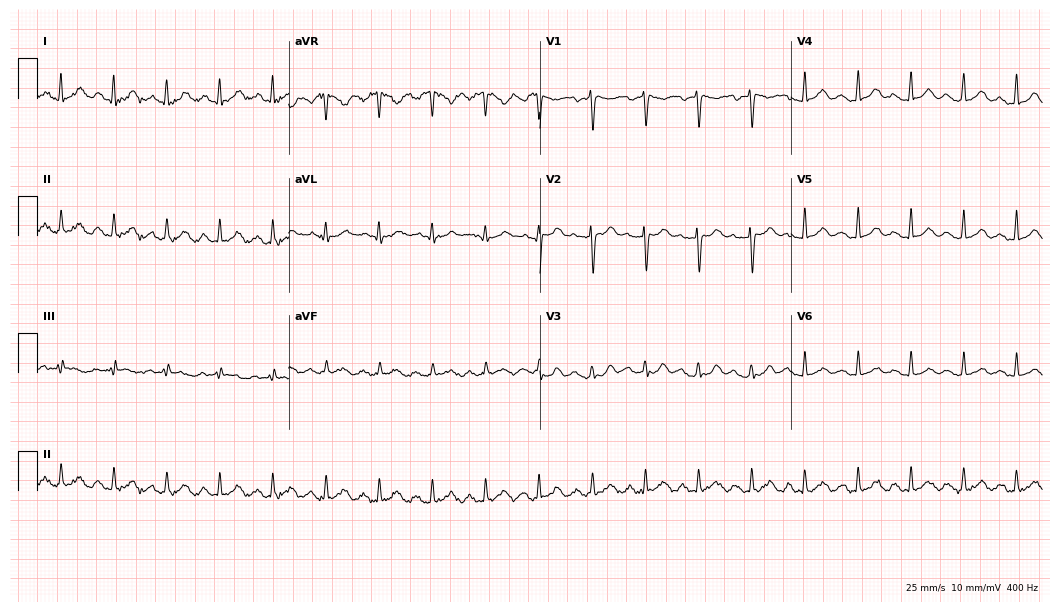
ECG — a 47-year-old female patient. Findings include sinus tachycardia (a sinus rate of 100 beats per minute or more).